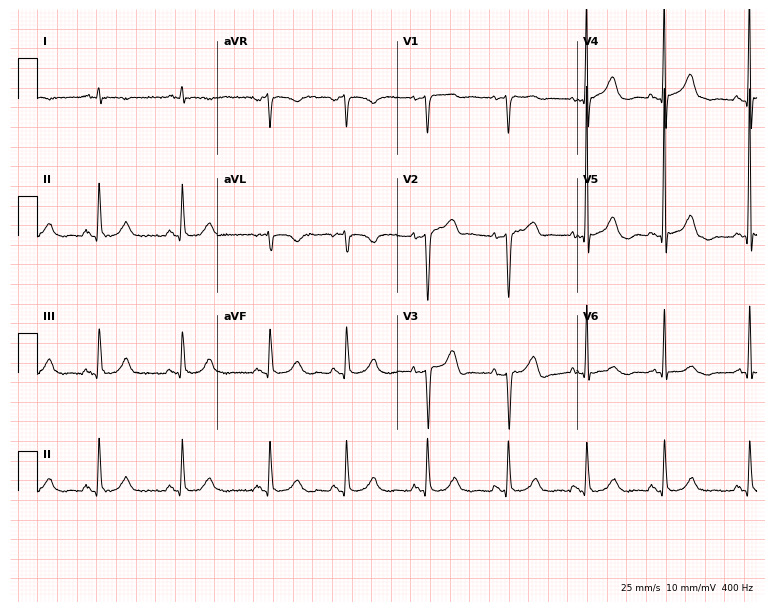
ECG (7.3-second recording at 400 Hz) — a 69-year-old man. Screened for six findings — first-degree AV block, right bundle branch block, left bundle branch block, sinus bradycardia, atrial fibrillation, sinus tachycardia — none is recorded. Findings outside these six are not listed.